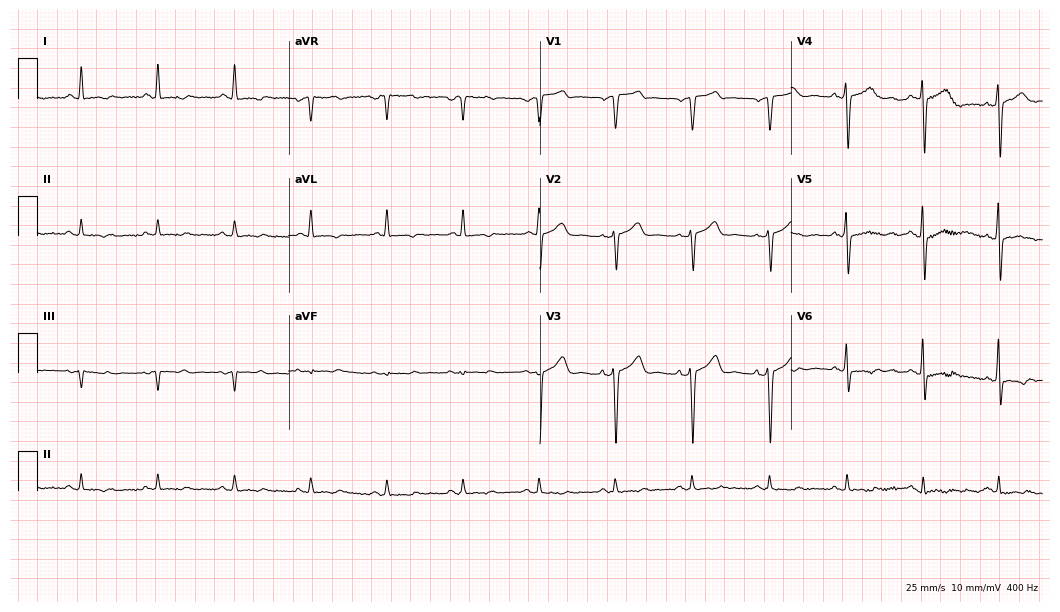
12-lead ECG (10.2-second recording at 400 Hz) from a male patient, 64 years old. Screened for six findings — first-degree AV block, right bundle branch block (RBBB), left bundle branch block (LBBB), sinus bradycardia, atrial fibrillation (AF), sinus tachycardia — none is recorded. Only these six findings were labelled.